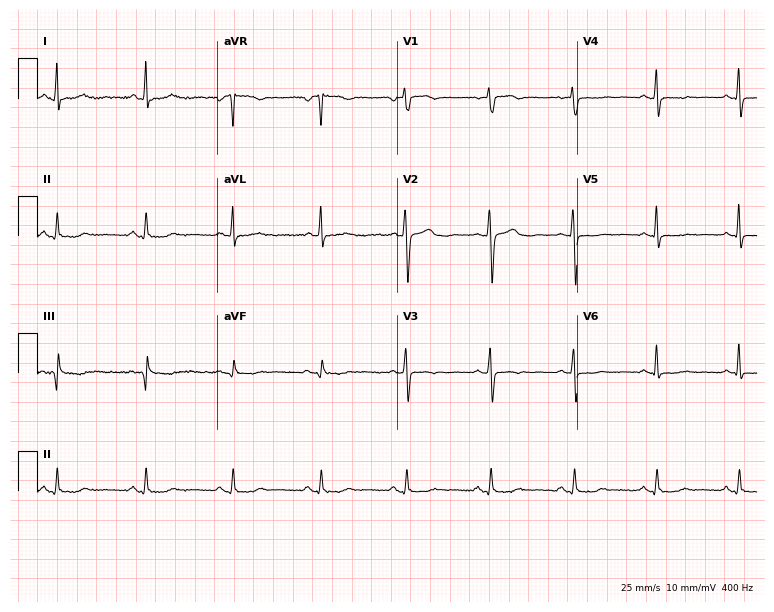
Resting 12-lead electrocardiogram. Patient: a female, 56 years old. None of these six findings is recorded: first-degree AV block, right bundle branch block, left bundle branch block, sinus bradycardia, atrial fibrillation, sinus tachycardia. Only these six findings were labelled.